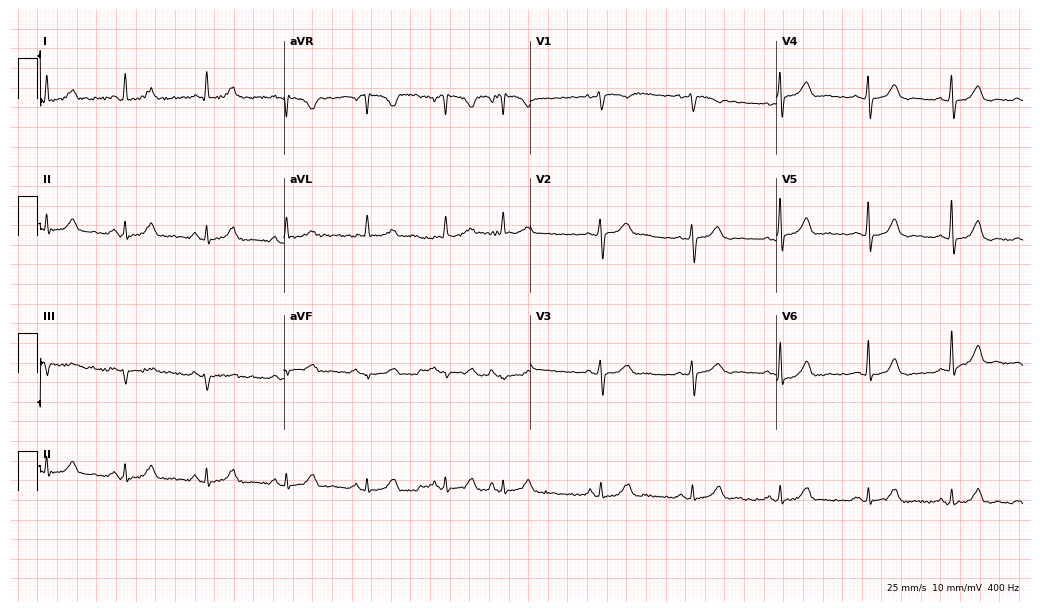
ECG — a 67-year-old female patient. Screened for six findings — first-degree AV block, right bundle branch block, left bundle branch block, sinus bradycardia, atrial fibrillation, sinus tachycardia — none is recorded.